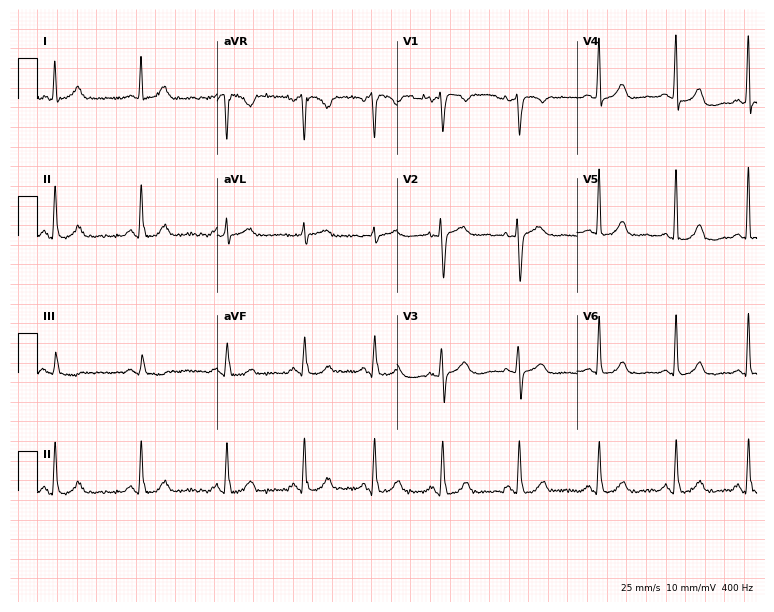
12-lead ECG from a 54-year-old woman. Recorded interpretation: within normal limits.